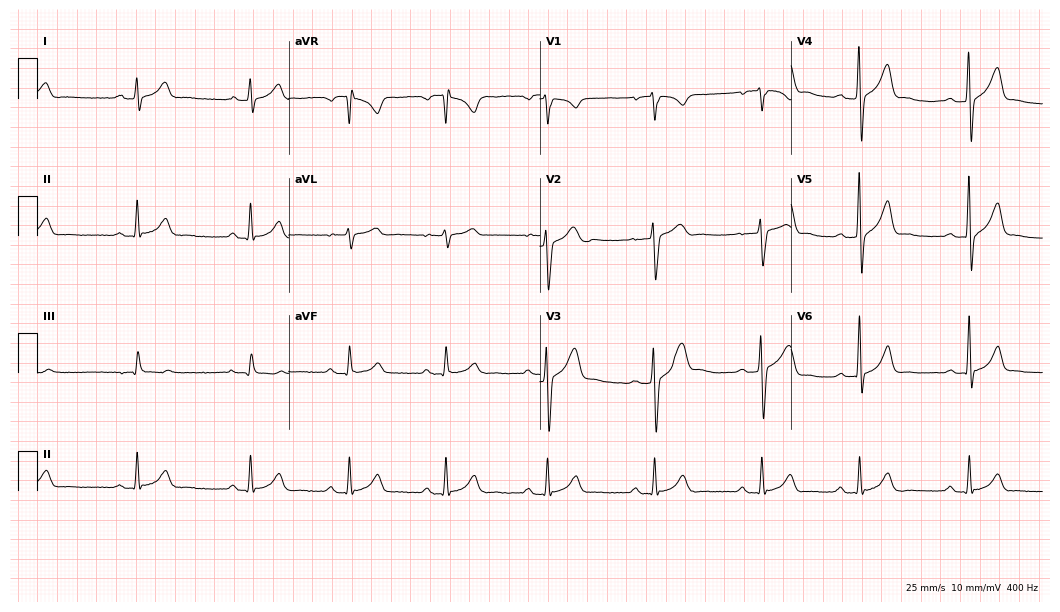
Standard 12-lead ECG recorded from a 28-year-old man (10.2-second recording at 400 Hz). Read as a normal ECG.